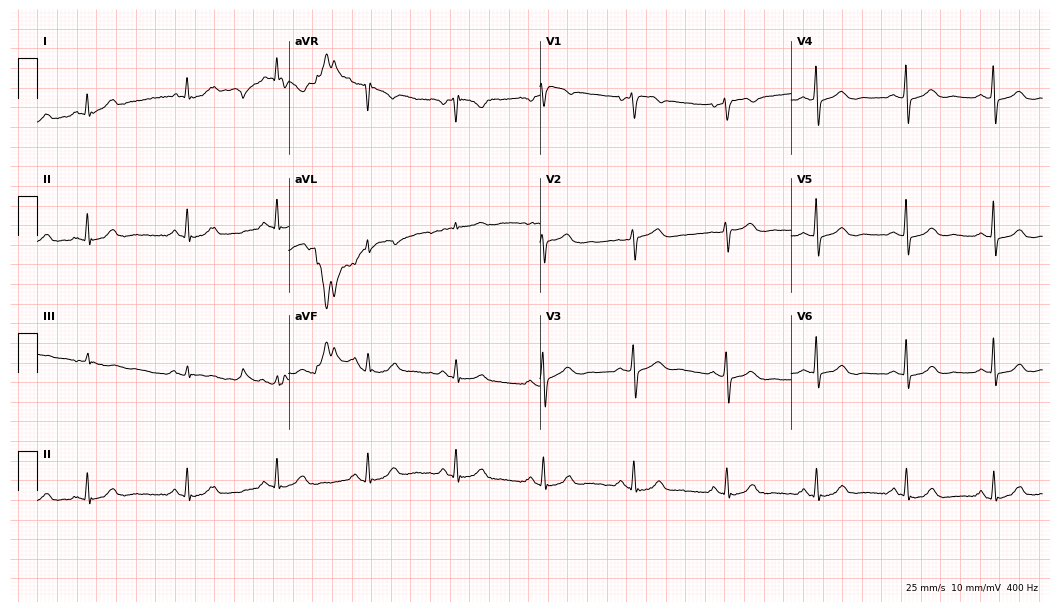
Electrocardiogram (10.2-second recording at 400 Hz), a woman, 56 years old. Overall reading on record: normal ECG.